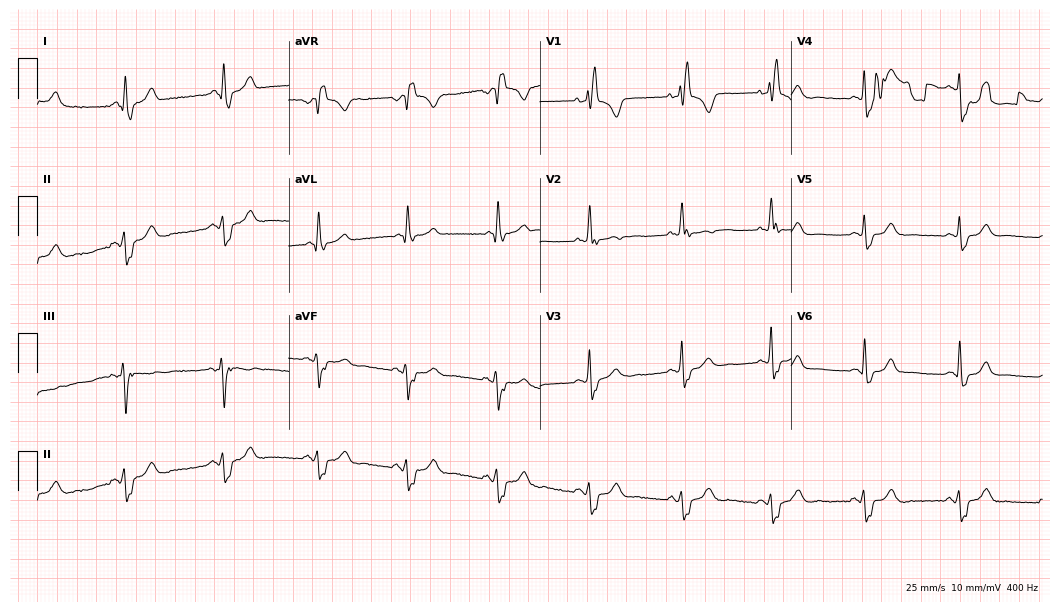
Electrocardiogram (10.2-second recording at 400 Hz), a female patient, 48 years old. Interpretation includes right bundle branch block.